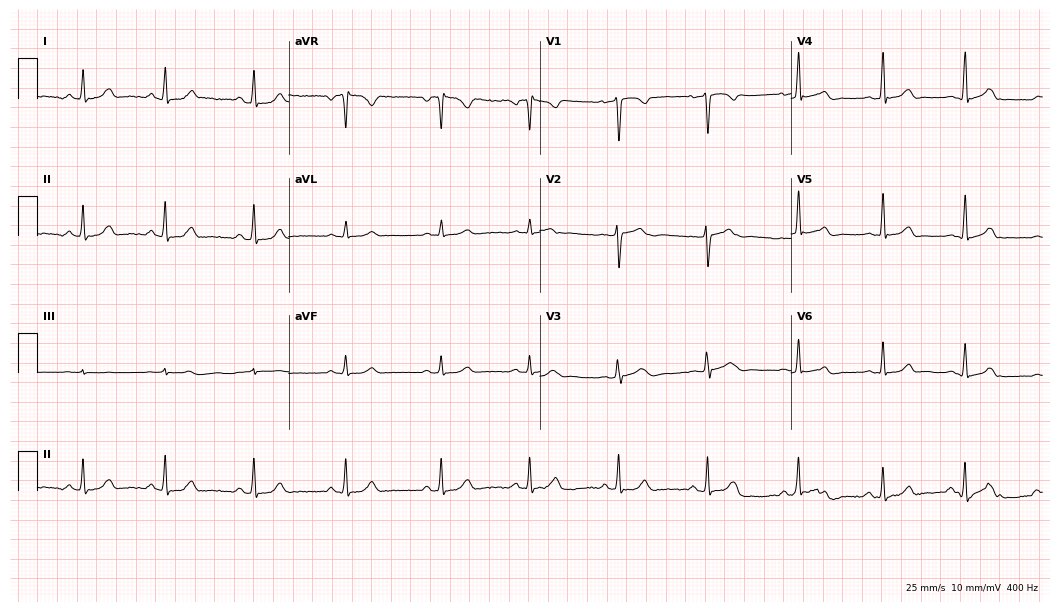
12-lead ECG from a 32-year-old woman. Recorded interpretation: within normal limits.